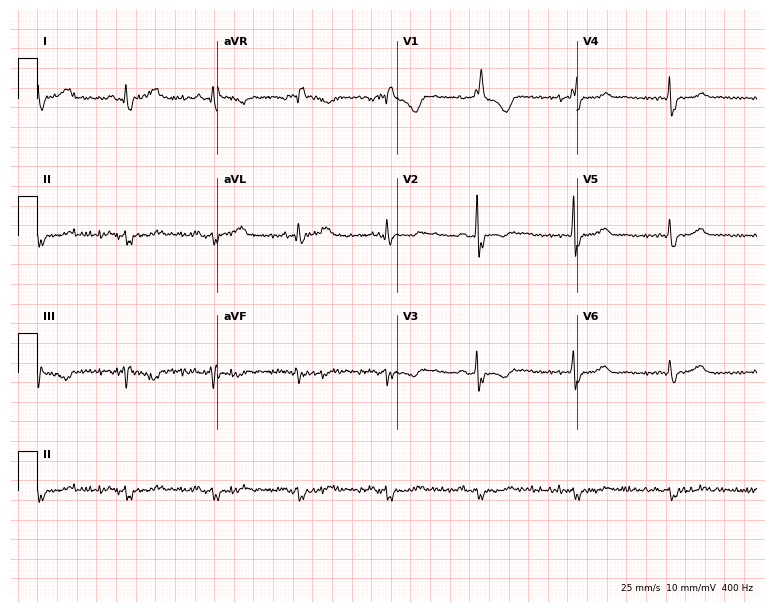
Standard 12-lead ECG recorded from a female, 63 years old. None of these six findings is recorded: first-degree AV block, right bundle branch block, left bundle branch block, sinus bradycardia, atrial fibrillation, sinus tachycardia. Findings outside these six are not listed.